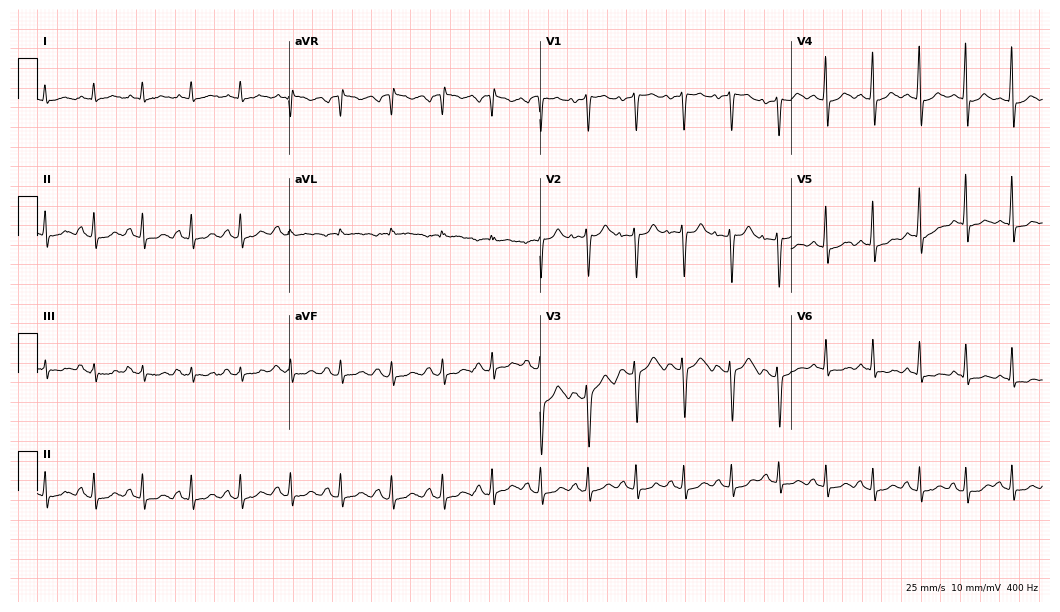
12-lead ECG (10.2-second recording at 400 Hz) from a female patient, 34 years old. Findings include sinus tachycardia (a sinus rate of 100 beats per minute or more).